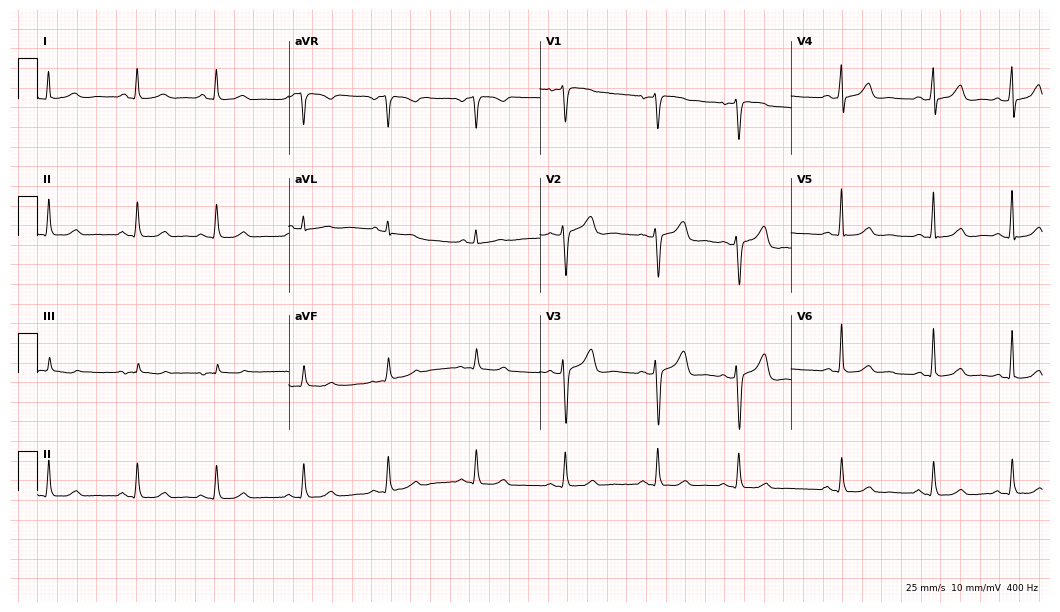
ECG (10.2-second recording at 400 Hz) — a 60-year-old female patient. Labelled as a normal ECG.